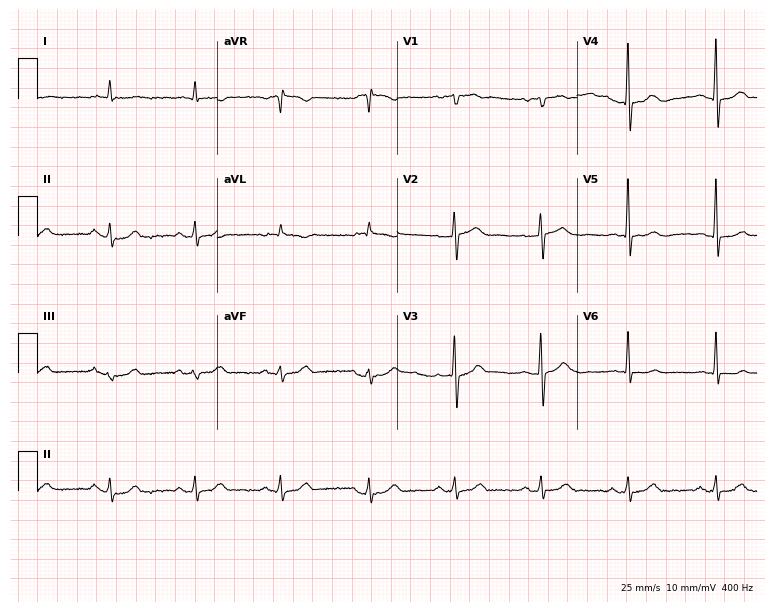
ECG — an 87-year-old male. Labelled as a normal ECG.